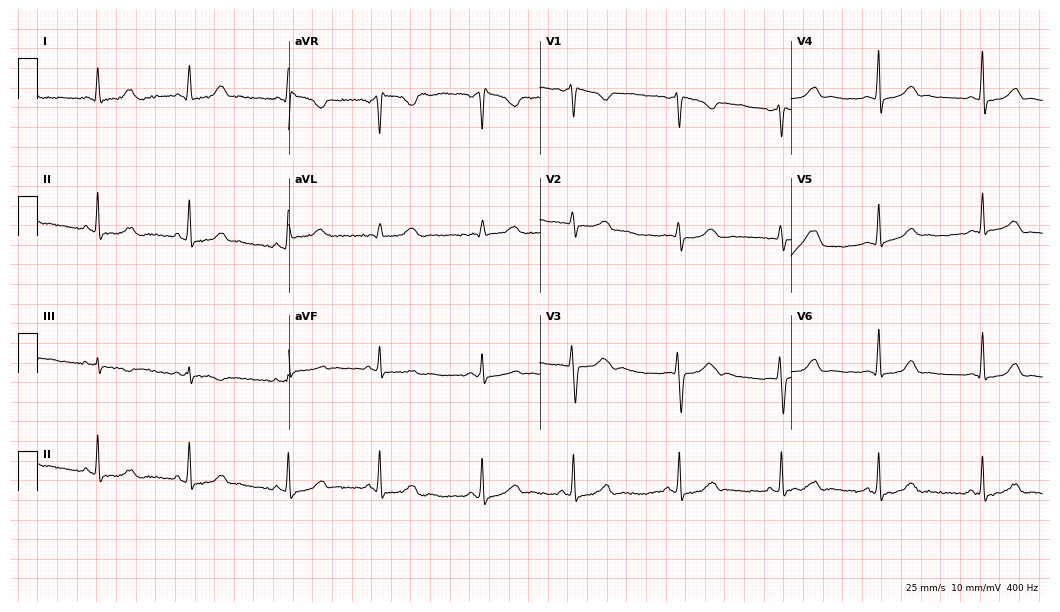
12-lead ECG from a 23-year-old female (10.2-second recording at 400 Hz). No first-degree AV block, right bundle branch block (RBBB), left bundle branch block (LBBB), sinus bradycardia, atrial fibrillation (AF) or sinus tachycardia recorded for this tracing.